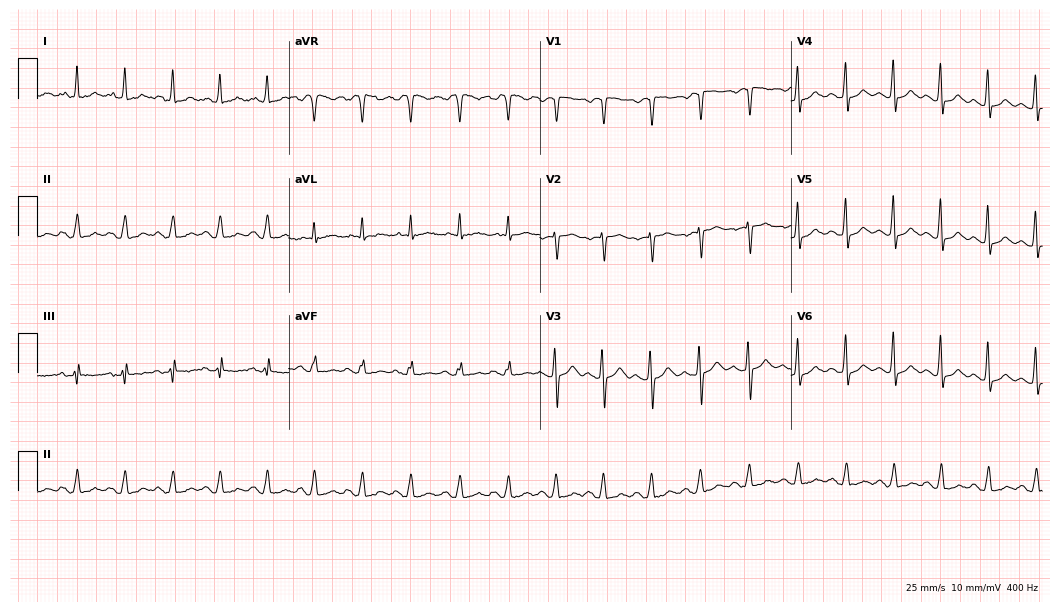
12-lead ECG from a female, 40 years old. Findings include sinus tachycardia (a sinus rate of 100 beats per minute or more).